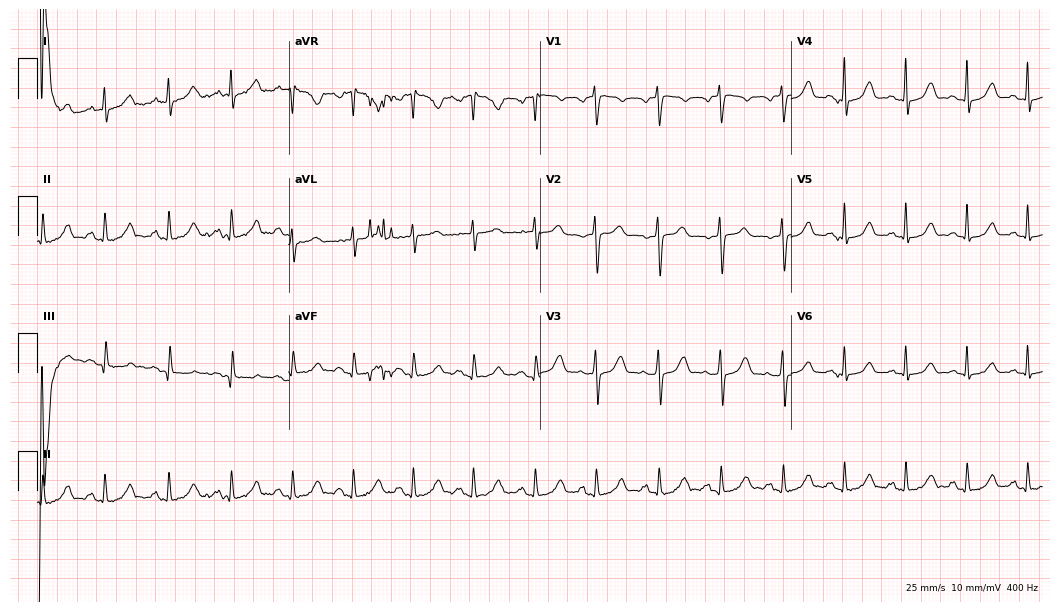
Resting 12-lead electrocardiogram (10.2-second recording at 400 Hz). Patient: a 44-year-old female. Read as a normal ECG.